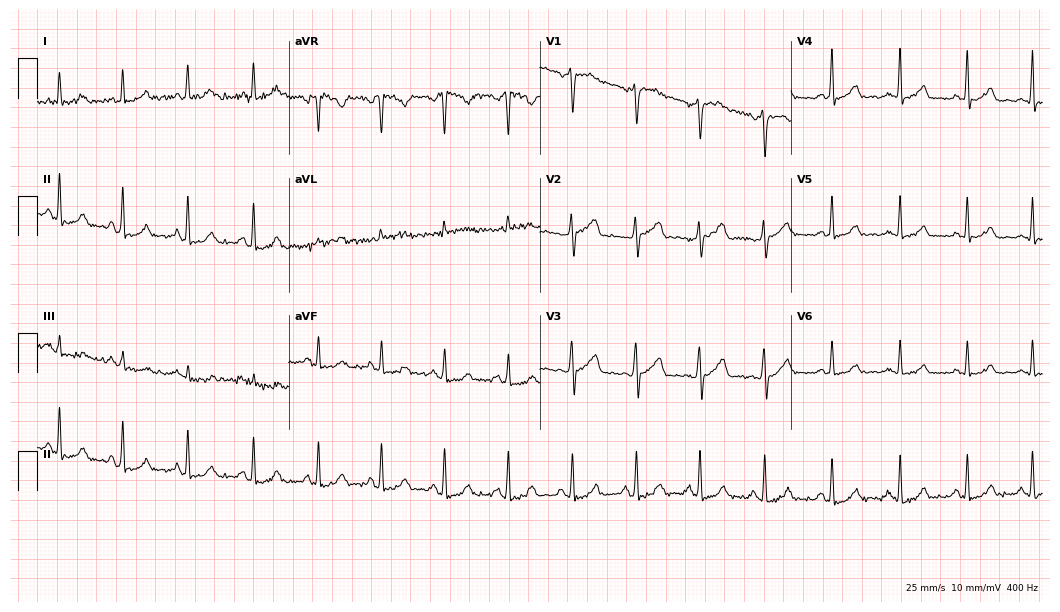
ECG — a woman, 29 years old. Screened for six findings — first-degree AV block, right bundle branch block, left bundle branch block, sinus bradycardia, atrial fibrillation, sinus tachycardia — none is recorded.